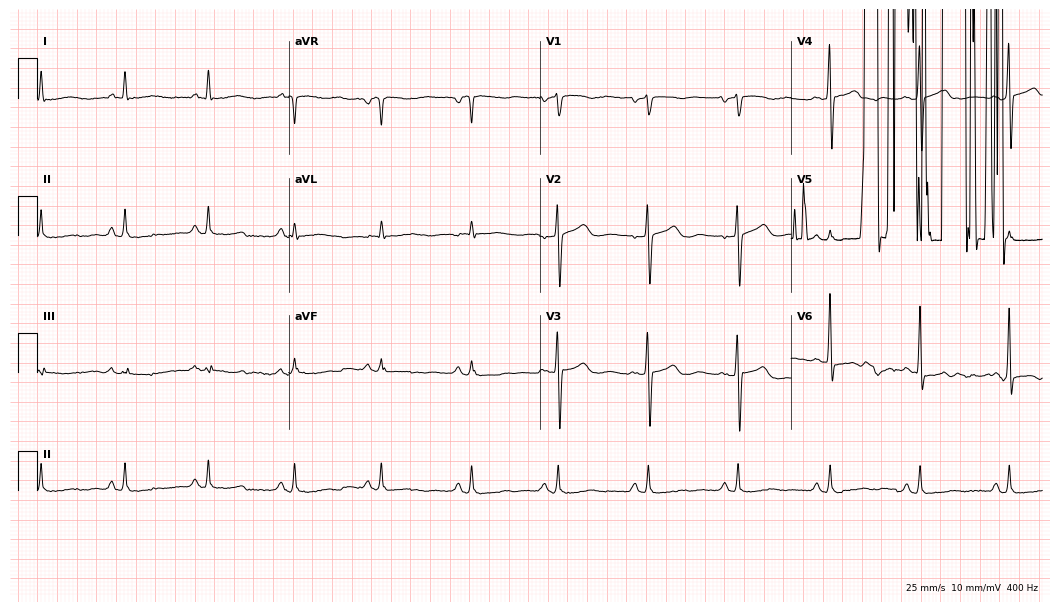
Resting 12-lead electrocardiogram (10.2-second recording at 400 Hz). Patient: a 53-year-old female. None of these six findings is recorded: first-degree AV block, right bundle branch block, left bundle branch block, sinus bradycardia, atrial fibrillation, sinus tachycardia.